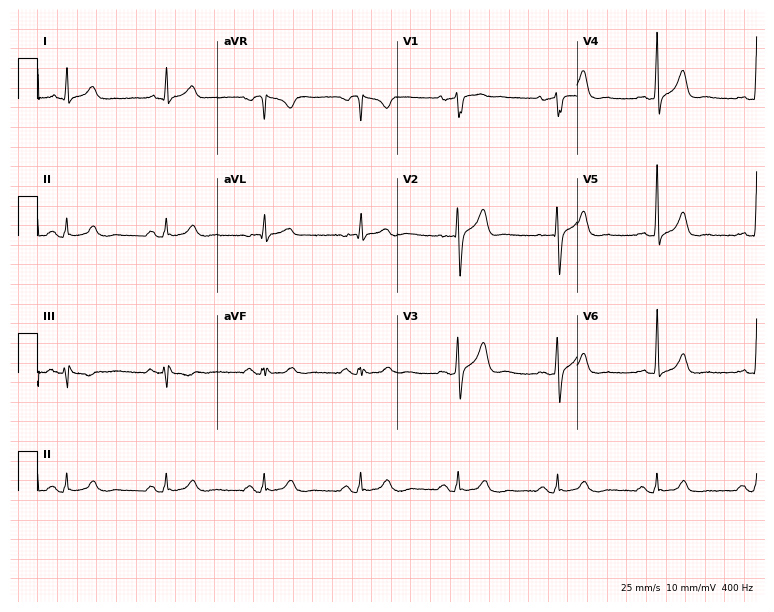
Resting 12-lead electrocardiogram. Patient: a 42-year-old male. Read as a normal ECG.